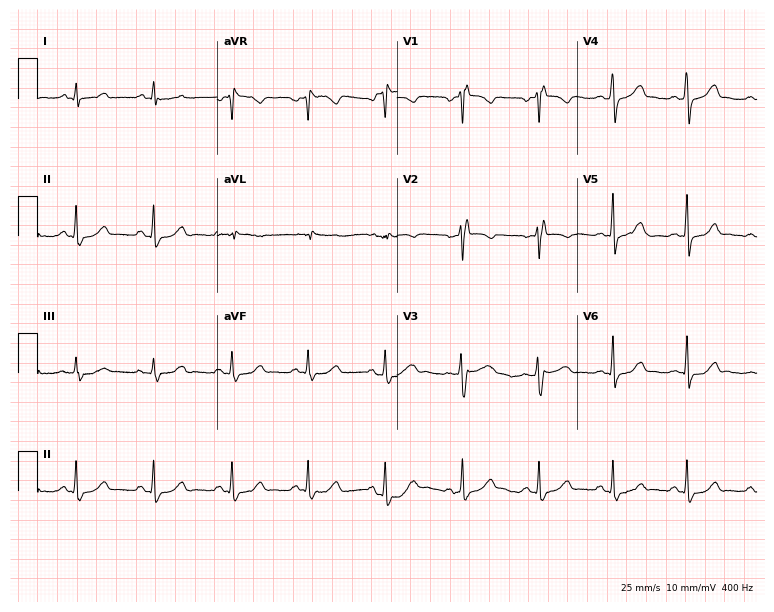
12-lead ECG (7.3-second recording at 400 Hz) from a female patient, 25 years old. Findings include right bundle branch block.